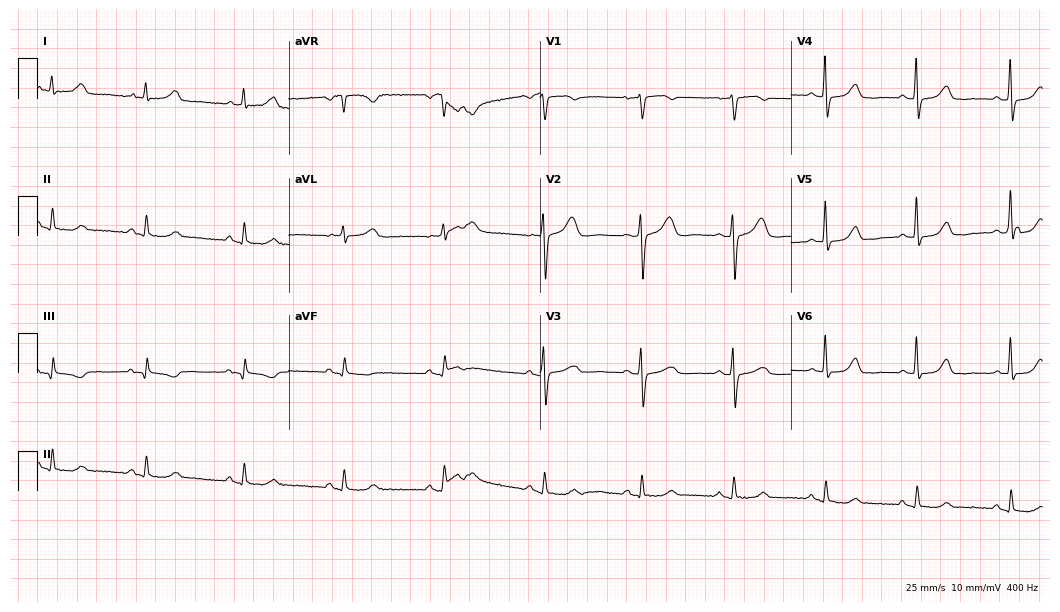
Electrocardiogram (10.2-second recording at 400 Hz), a woman, 60 years old. Of the six screened findings (first-degree AV block, right bundle branch block, left bundle branch block, sinus bradycardia, atrial fibrillation, sinus tachycardia), none is recorded.